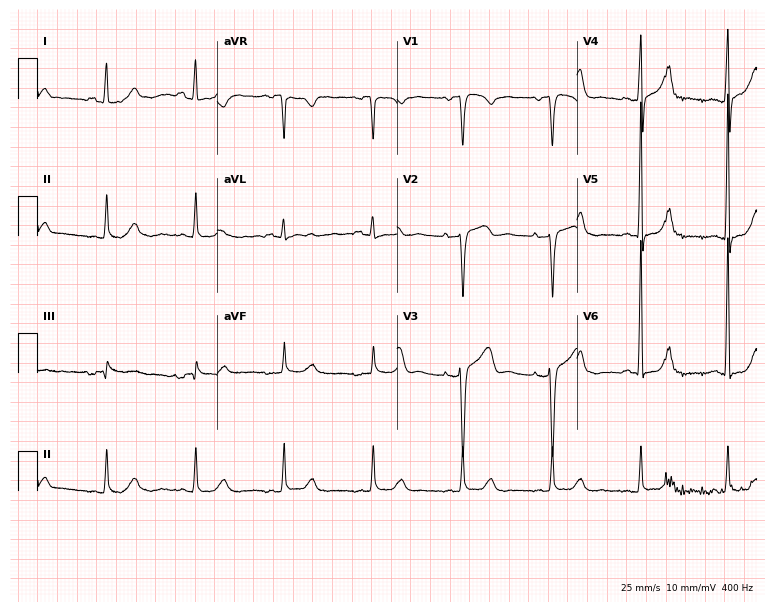
ECG — a female, 78 years old. Labelled as a normal ECG.